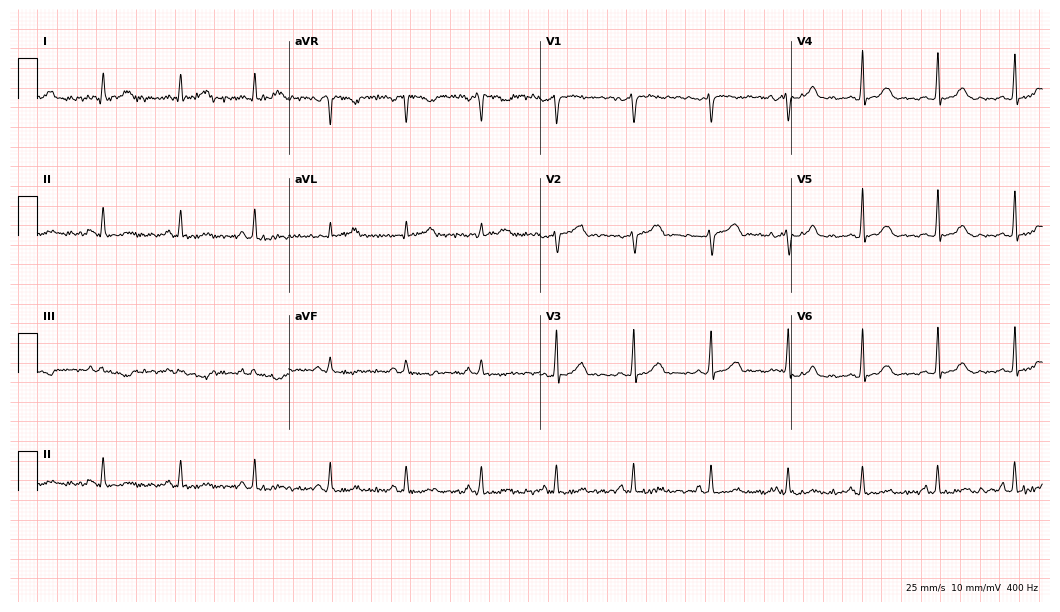
Resting 12-lead electrocardiogram. Patient: a female, 32 years old. None of these six findings is recorded: first-degree AV block, right bundle branch block, left bundle branch block, sinus bradycardia, atrial fibrillation, sinus tachycardia. Findings outside these six are not listed.